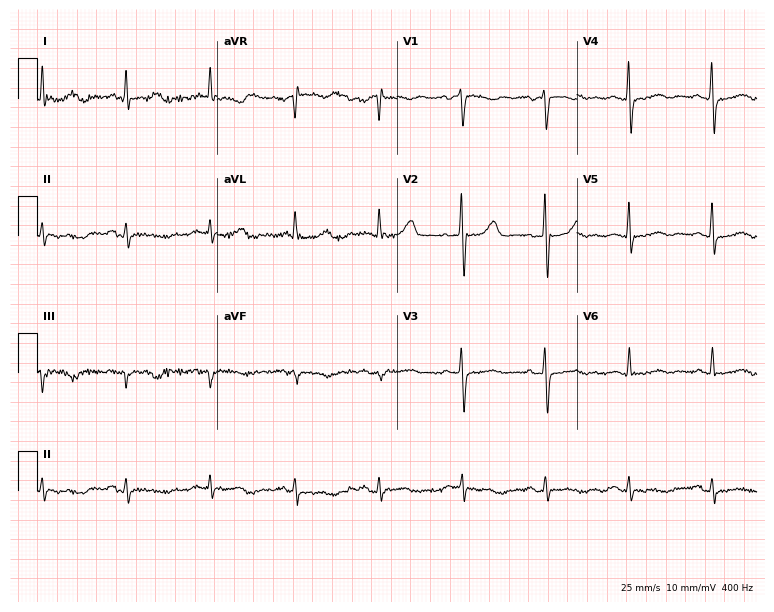
12-lead ECG (7.3-second recording at 400 Hz) from a 63-year-old female patient. Screened for six findings — first-degree AV block, right bundle branch block, left bundle branch block, sinus bradycardia, atrial fibrillation, sinus tachycardia — none is recorded.